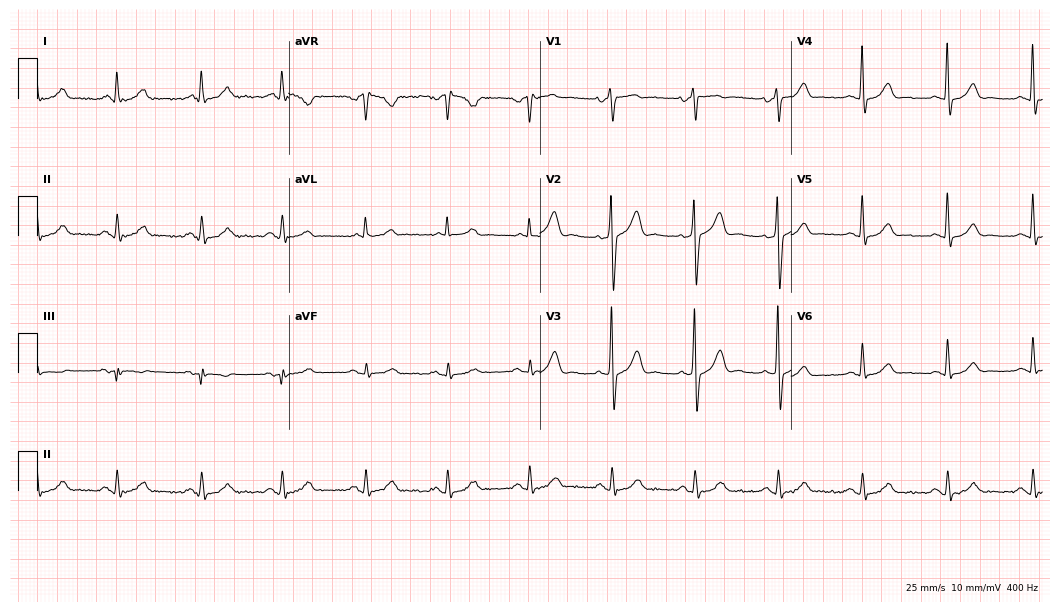
Standard 12-lead ECG recorded from a man, 63 years old. Read as a normal ECG.